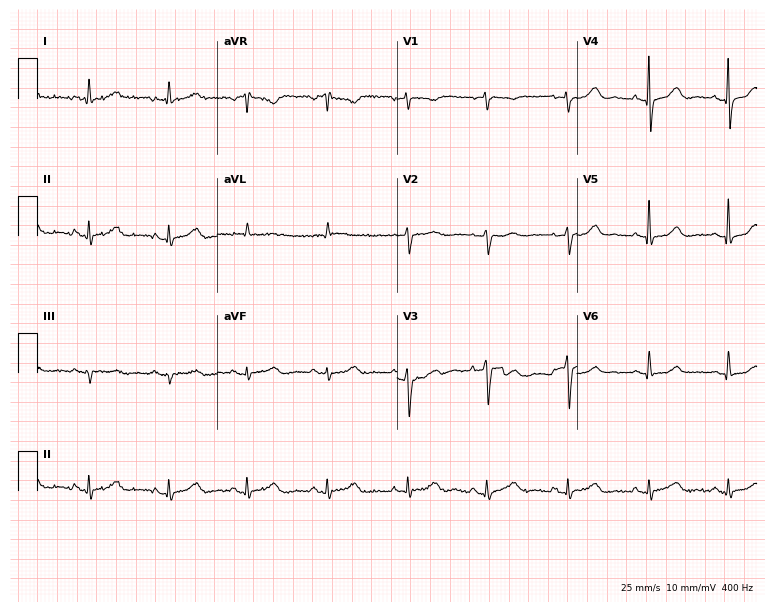
Electrocardiogram (7.3-second recording at 400 Hz), a female, 73 years old. Of the six screened findings (first-degree AV block, right bundle branch block, left bundle branch block, sinus bradycardia, atrial fibrillation, sinus tachycardia), none is recorded. Only these six findings were labelled.